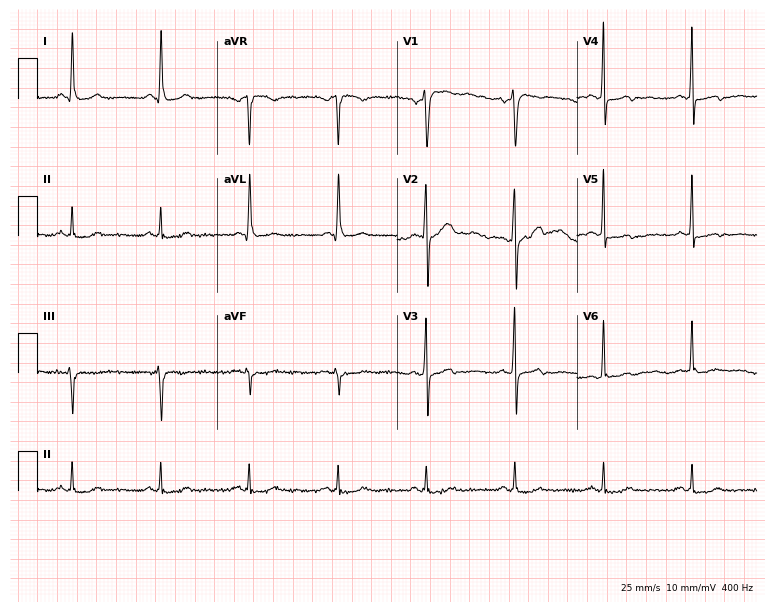
Standard 12-lead ECG recorded from a man, 64 years old. None of these six findings is recorded: first-degree AV block, right bundle branch block (RBBB), left bundle branch block (LBBB), sinus bradycardia, atrial fibrillation (AF), sinus tachycardia. Only these six findings were labelled.